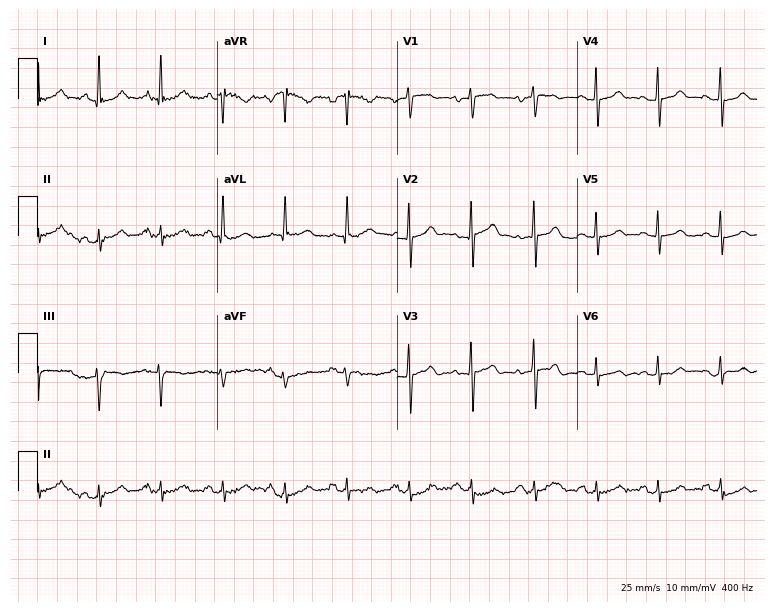
12-lead ECG from a female patient, 64 years old (7.3-second recording at 400 Hz). Recorded interpretation: within normal limits.